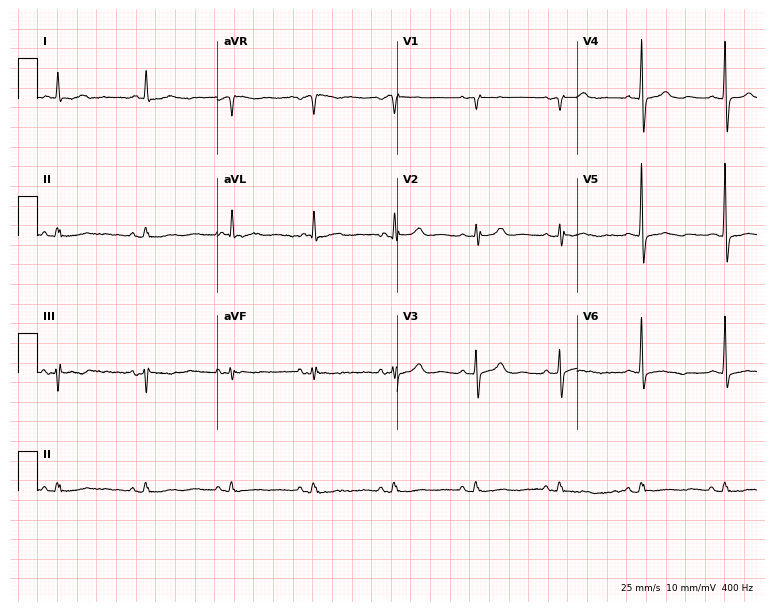
Resting 12-lead electrocardiogram. Patient: an 81-year-old female. None of these six findings is recorded: first-degree AV block, right bundle branch block, left bundle branch block, sinus bradycardia, atrial fibrillation, sinus tachycardia.